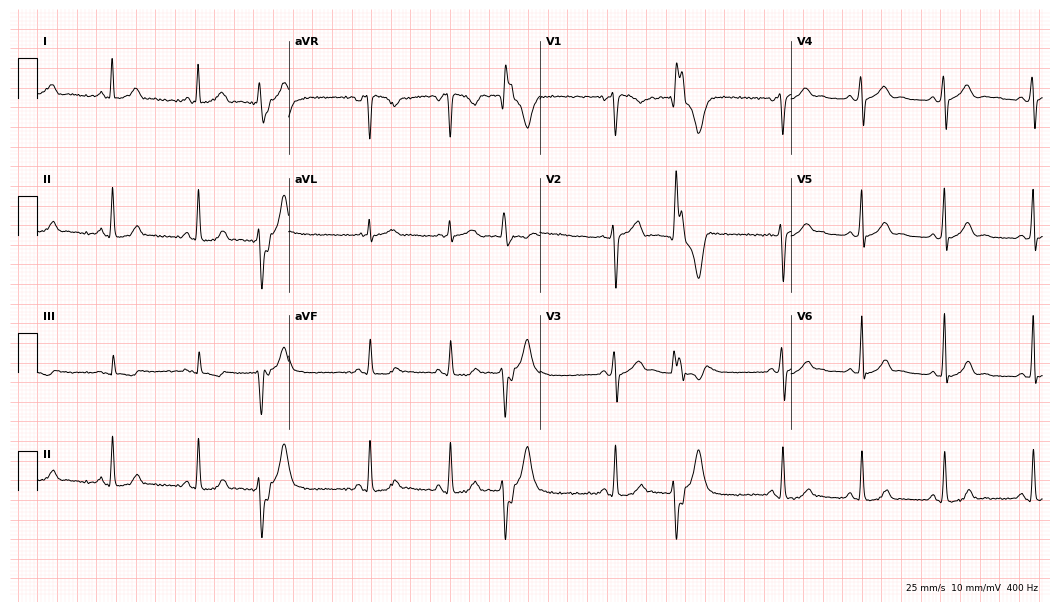
Electrocardiogram (10.2-second recording at 400 Hz), a woman, 34 years old. Of the six screened findings (first-degree AV block, right bundle branch block, left bundle branch block, sinus bradycardia, atrial fibrillation, sinus tachycardia), none is recorded.